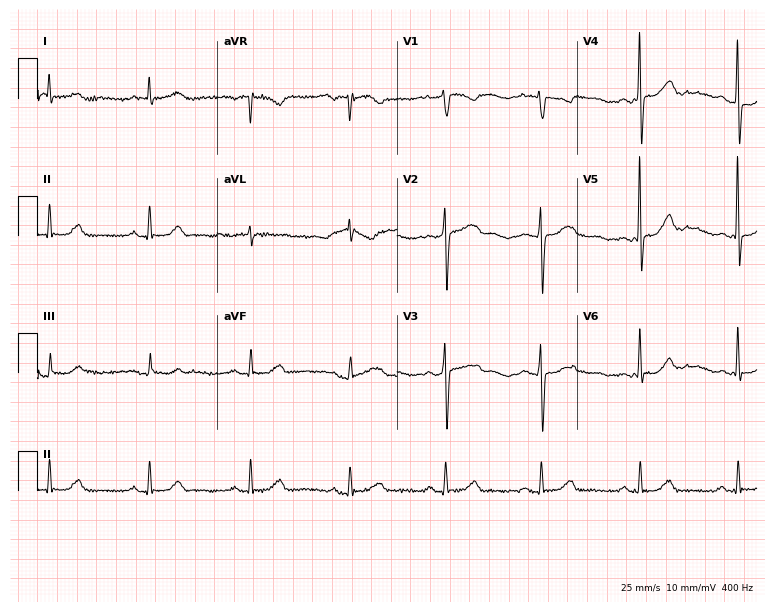
12-lead ECG (7.3-second recording at 400 Hz) from a 74-year-old female patient. Labelled as a normal ECG.